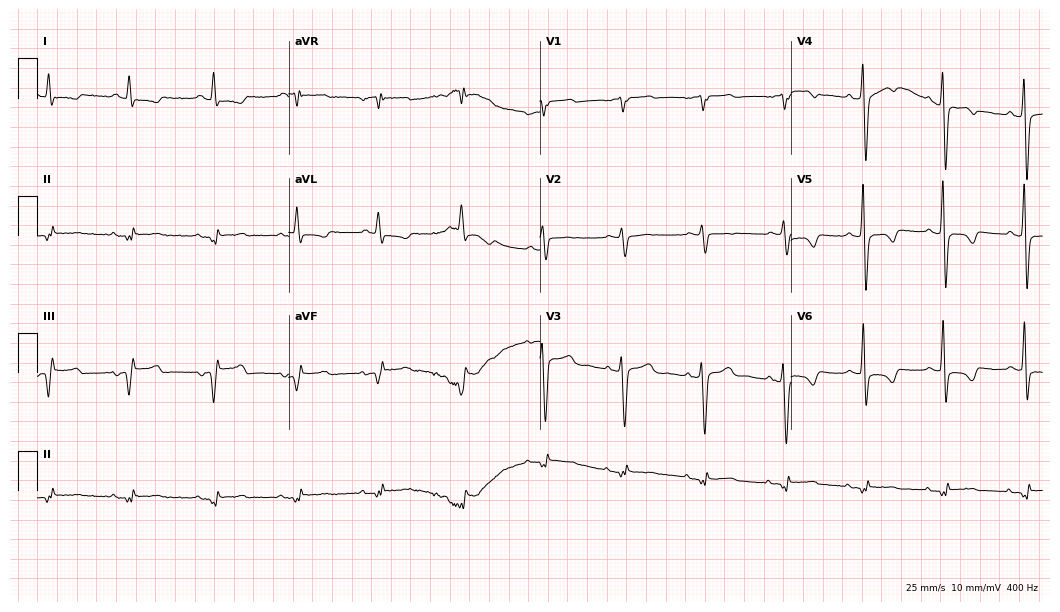
ECG — a 53-year-old male patient. Screened for six findings — first-degree AV block, right bundle branch block, left bundle branch block, sinus bradycardia, atrial fibrillation, sinus tachycardia — none is recorded. Only these six findings were labelled.